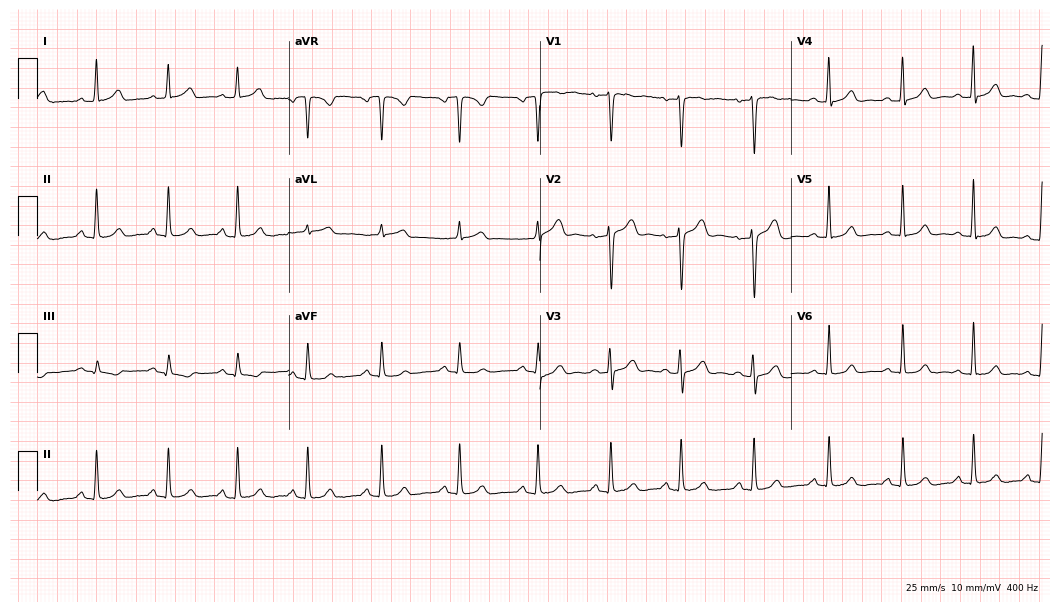
Standard 12-lead ECG recorded from a female, 39 years old. Read as a normal ECG.